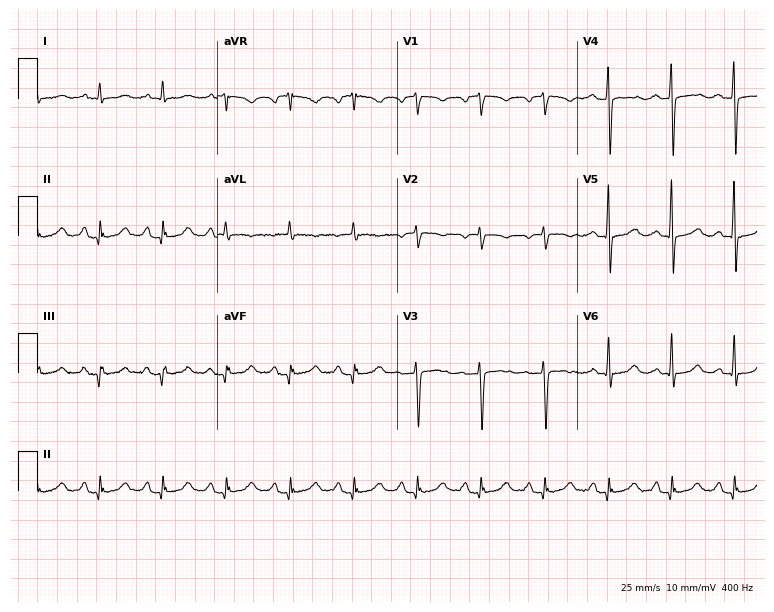
Standard 12-lead ECG recorded from a 59-year-old woman (7.3-second recording at 400 Hz). None of these six findings is recorded: first-degree AV block, right bundle branch block, left bundle branch block, sinus bradycardia, atrial fibrillation, sinus tachycardia. Findings outside these six are not listed.